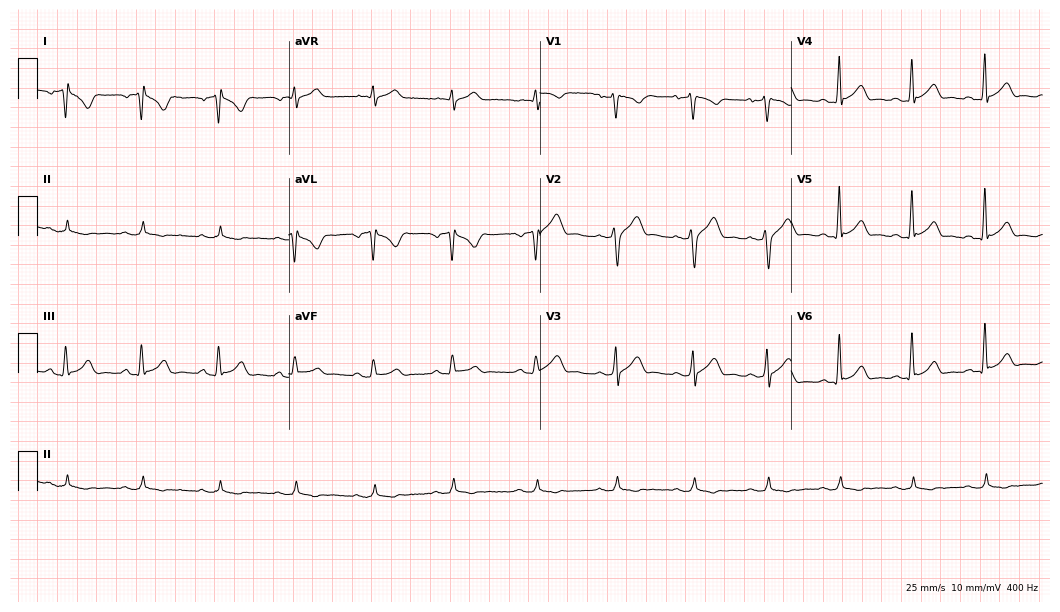
12-lead ECG from a male, 24 years old (10.2-second recording at 400 Hz). No first-degree AV block, right bundle branch block (RBBB), left bundle branch block (LBBB), sinus bradycardia, atrial fibrillation (AF) or sinus tachycardia recorded for this tracing. Other findings, if any, are not listed.